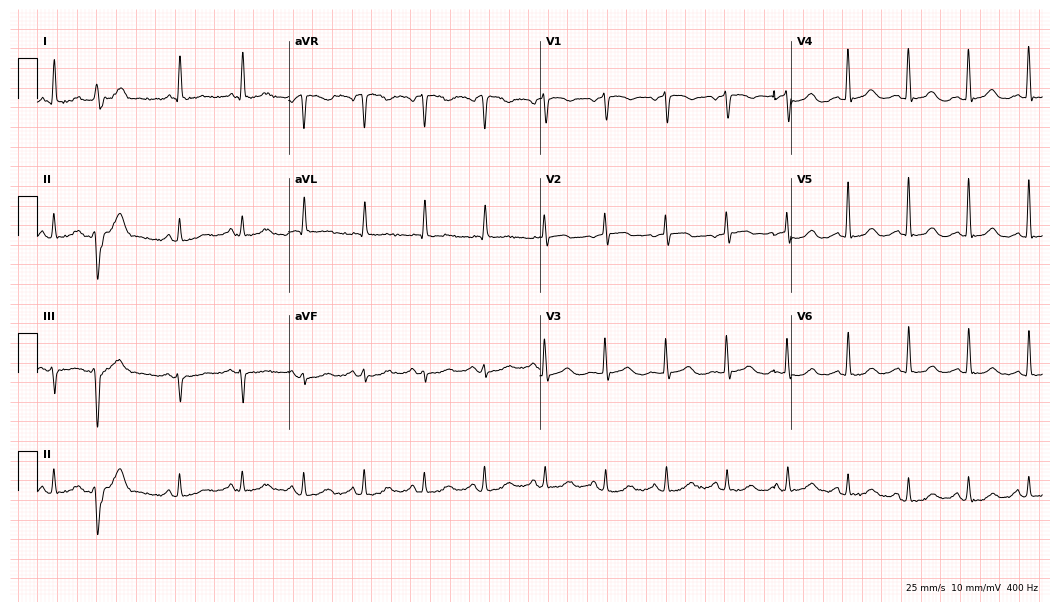
12-lead ECG (10.2-second recording at 400 Hz) from a female, 82 years old. Labelled as a normal ECG.